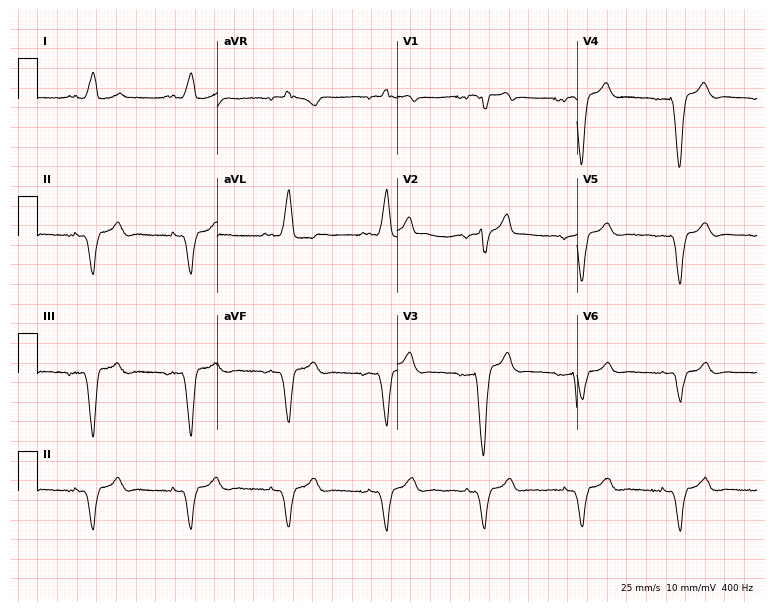
12-lead ECG from a male, 39 years old. Screened for six findings — first-degree AV block, right bundle branch block, left bundle branch block, sinus bradycardia, atrial fibrillation, sinus tachycardia — none is recorded. Only these six findings were labelled.